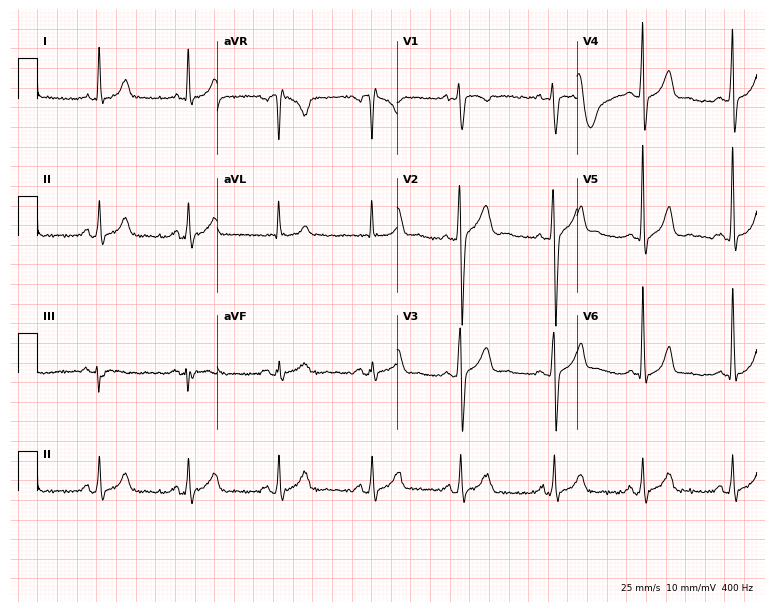
Standard 12-lead ECG recorded from a male patient, 28 years old (7.3-second recording at 400 Hz). Read as a normal ECG.